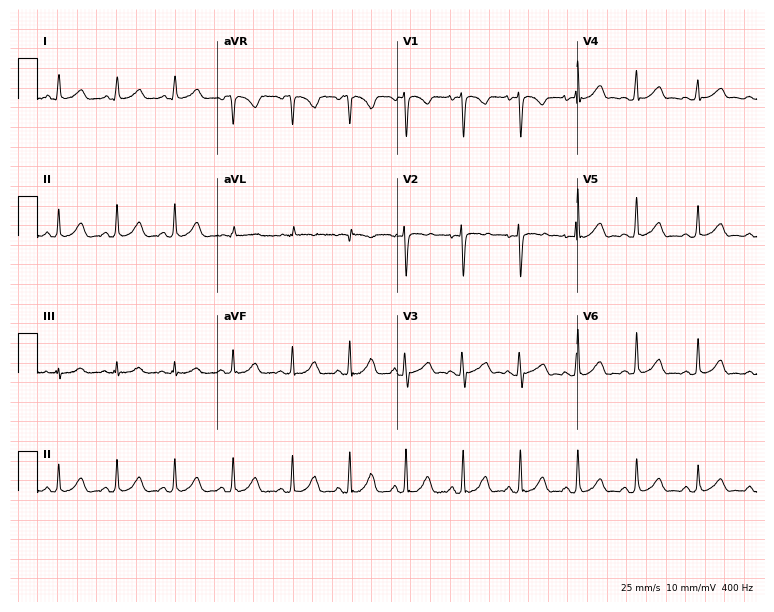
Resting 12-lead electrocardiogram. Patient: a woman, 21 years old. Read as a normal ECG.